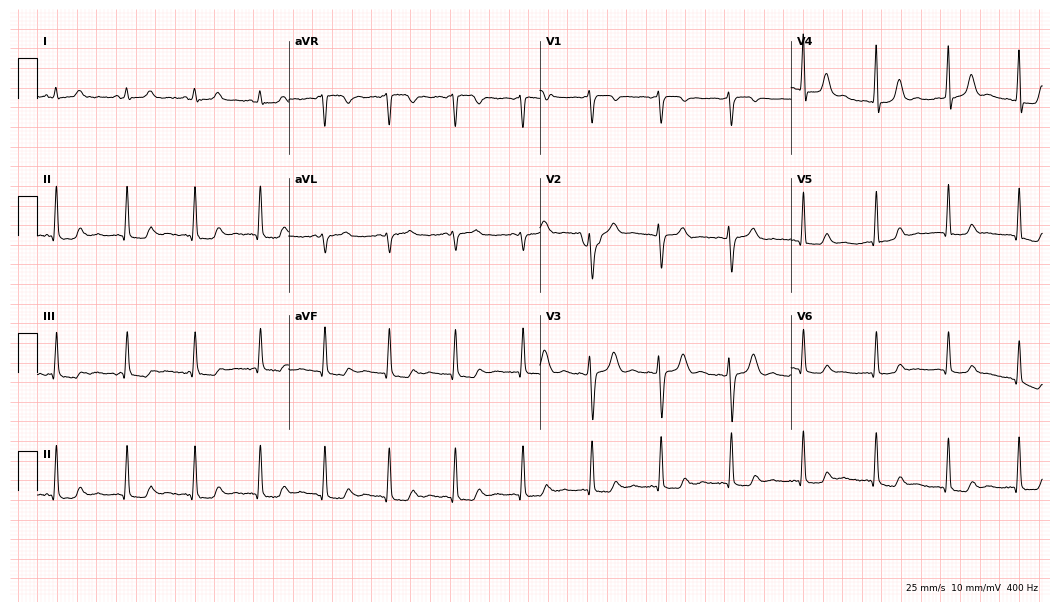
ECG (10.2-second recording at 400 Hz) — a female, 40 years old. Labelled as a normal ECG.